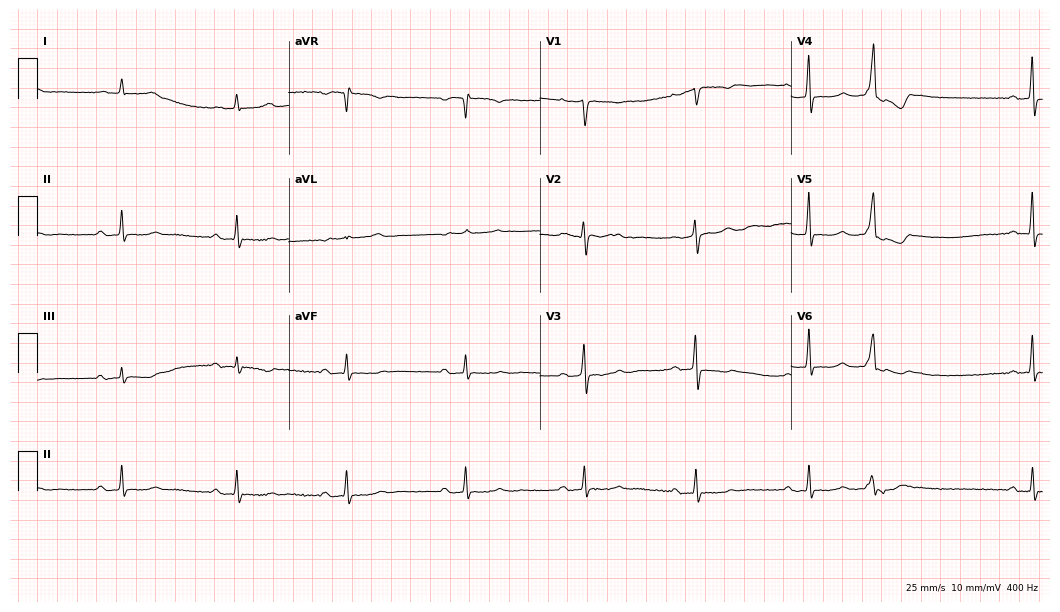
ECG (10.2-second recording at 400 Hz) — an 82-year-old female. Screened for six findings — first-degree AV block, right bundle branch block, left bundle branch block, sinus bradycardia, atrial fibrillation, sinus tachycardia — none is recorded. Findings outside these six are not listed.